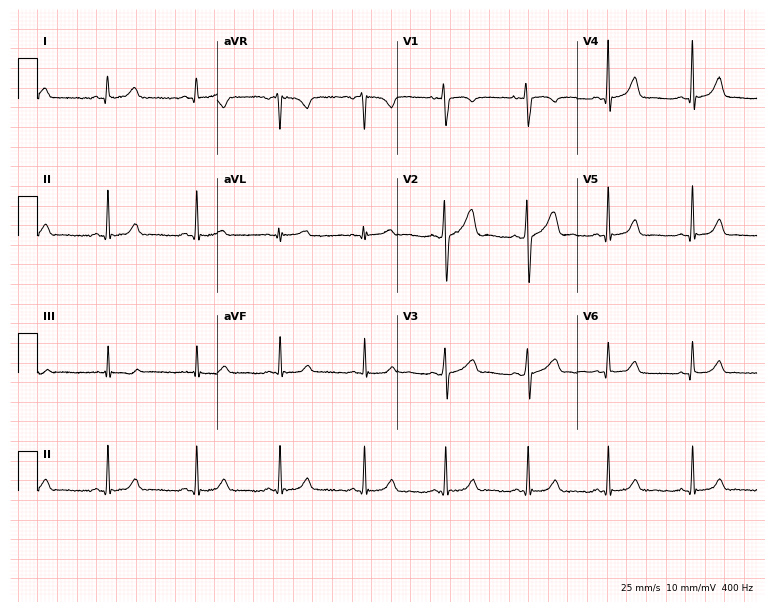
ECG — a 19-year-old woman. Labelled as a normal ECG.